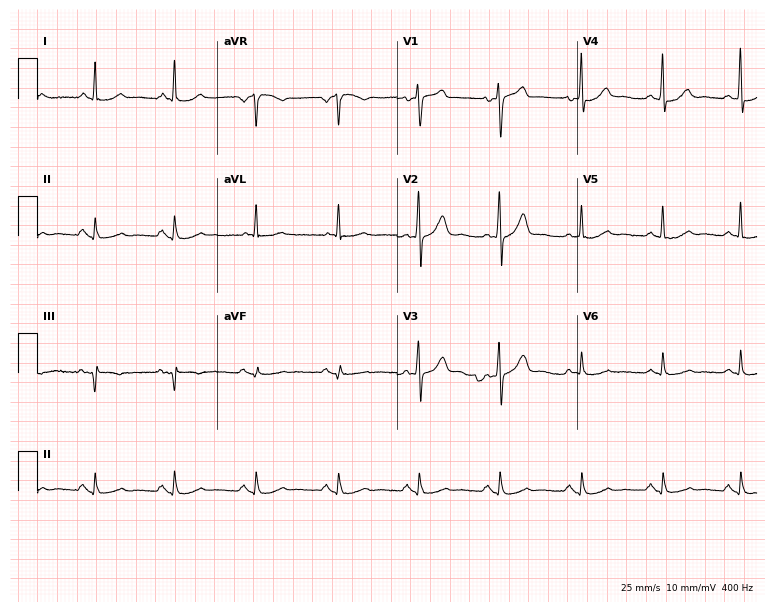
Standard 12-lead ECG recorded from a male patient, 74 years old (7.3-second recording at 400 Hz). Read as a normal ECG.